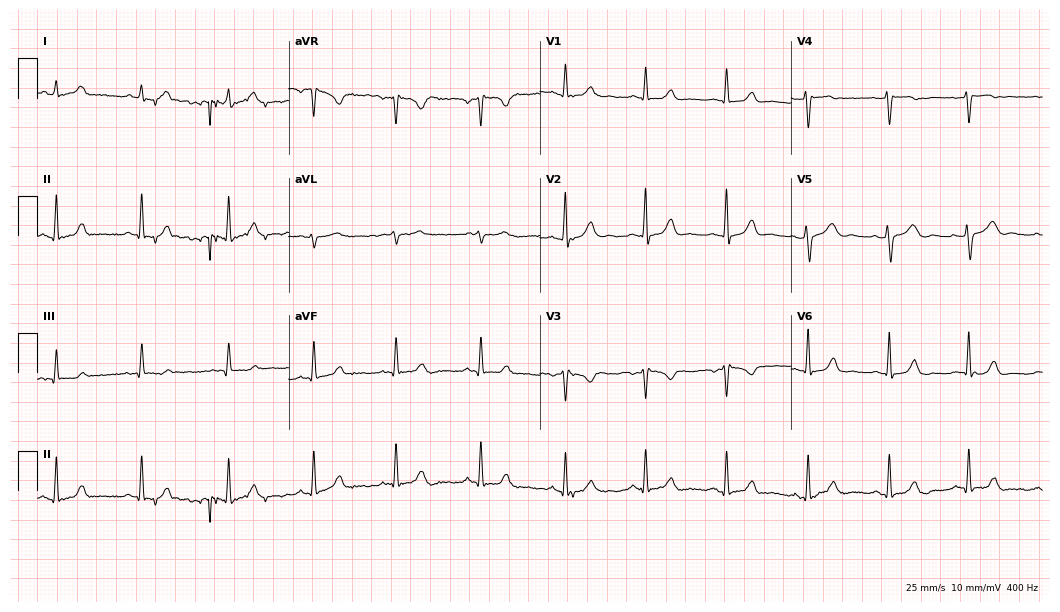
12-lead ECG from a female, 31 years old. Screened for six findings — first-degree AV block, right bundle branch block (RBBB), left bundle branch block (LBBB), sinus bradycardia, atrial fibrillation (AF), sinus tachycardia — none is recorded. Only these six findings were labelled.